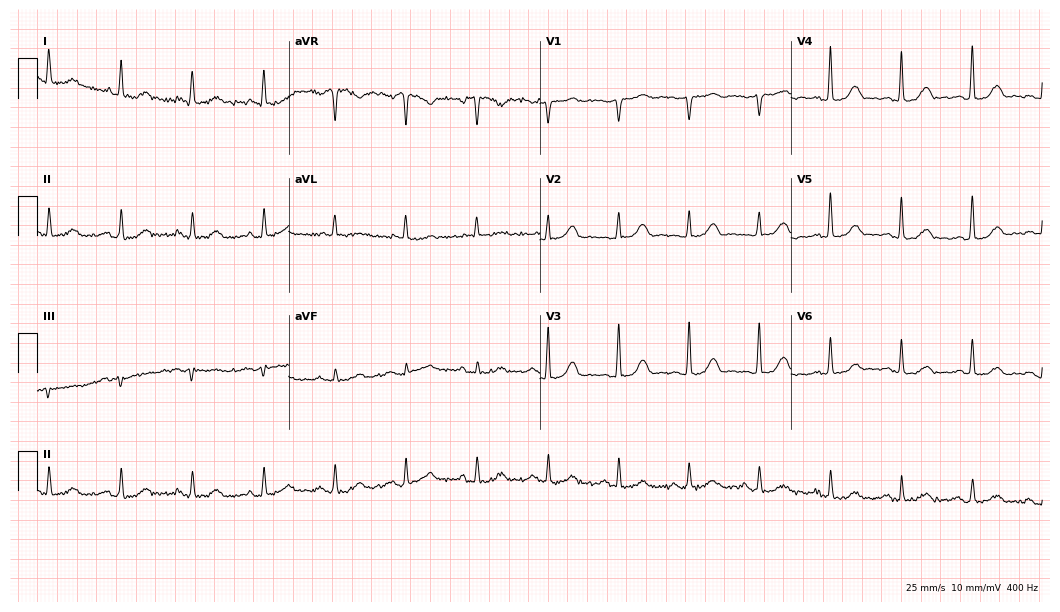
12-lead ECG (10.2-second recording at 400 Hz) from a 64-year-old female. Screened for six findings — first-degree AV block, right bundle branch block (RBBB), left bundle branch block (LBBB), sinus bradycardia, atrial fibrillation (AF), sinus tachycardia — none is recorded. Findings outside these six are not listed.